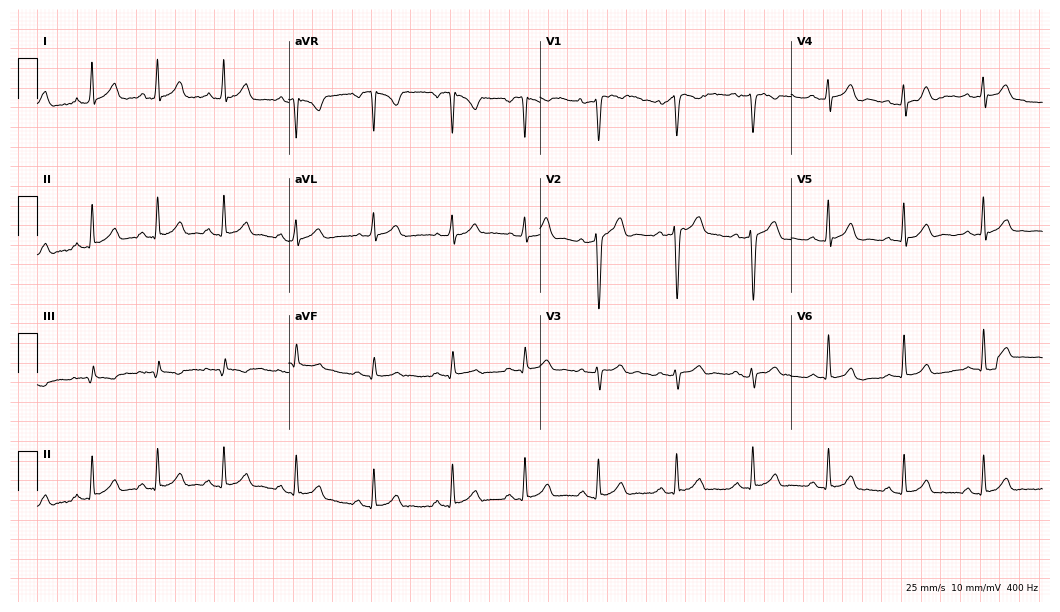
12-lead ECG from a 31-year-old male patient (10.2-second recording at 400 Hz). No first-degree AV block, right bundle branch block (RBBB), left bundle branch block (LBBB), sinus bradycardia, atrial fibrillation (AF) or sinus tachycardia recorded for this tracing. Only these six findings were labelled.